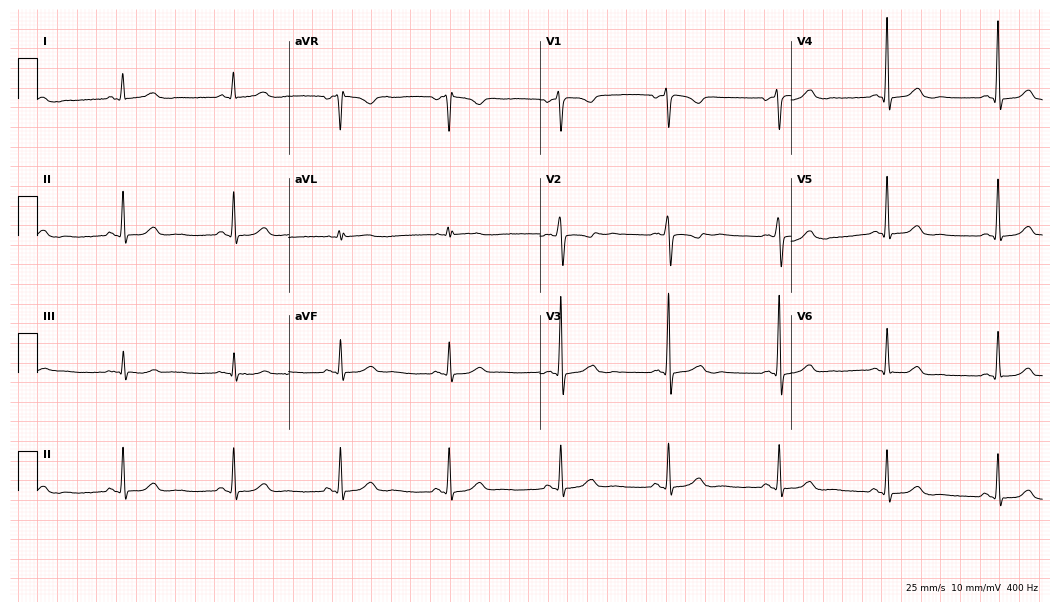
ECG (10.2-second recording at 400 Hz) — a 59-year-old woman. Labelled as a normal ECG.